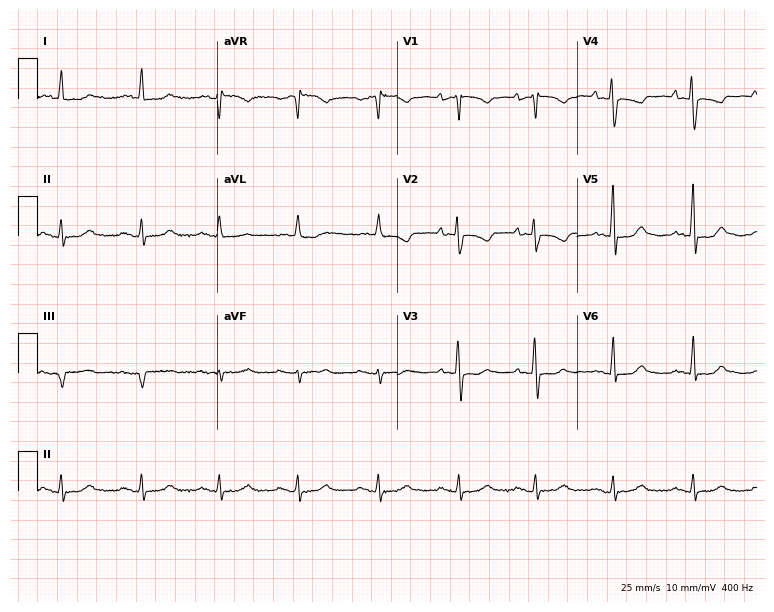
Resting 12-lead electrocardiogram. Patient: a woman, 64 years old. None of these six findings is recorded: first-degree AV block, right bundle branch block, left bundle branch block, sinus bradycardia, atrial fibrillation, sinus tachycardia.